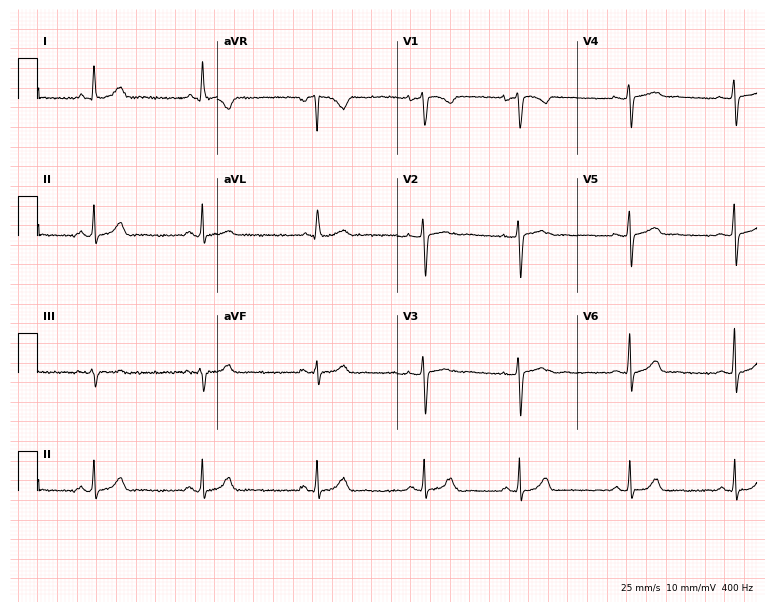
12-lead ECG from a female patient, 24 years old (7.3-second recording at 400 Hz). Recorded interpretation: within normal limits.